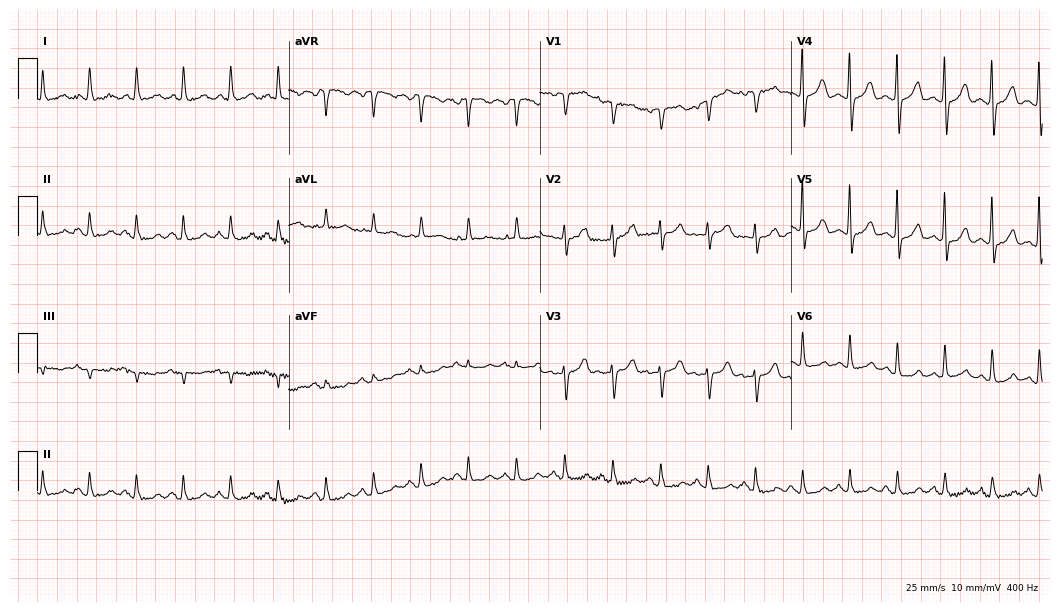
12-lead ECG from a 78-year-old female patient. Shows sinus tachycardia (a sinus rate of 100 beats per minute or more).